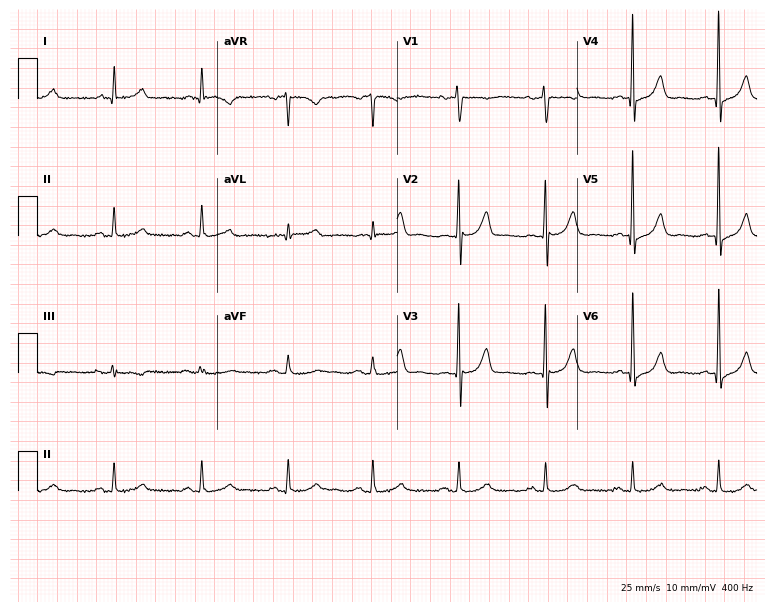
ECG — a 63-year-old male patient. Labelled as a normal ECG.